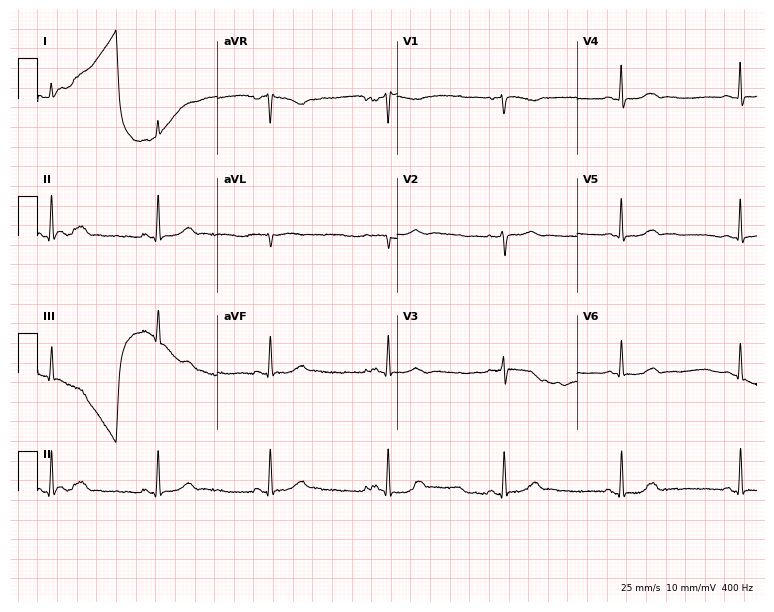
Standard 12-lead ECG recorded from a 59-year-old woman. Read as a normal ECG.